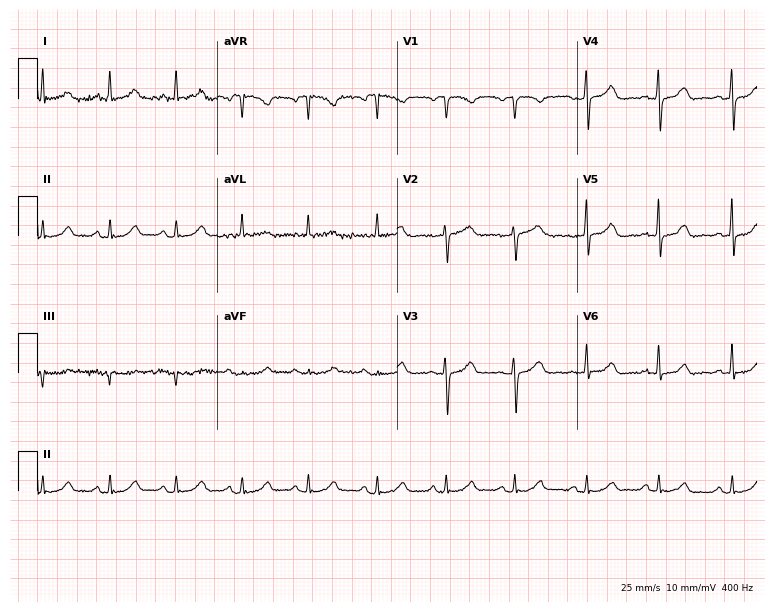
Electrocardiogram (7.3-second recording at 400 Hz), a female patient, 58 years old. Overall reading on record: normal ECG.